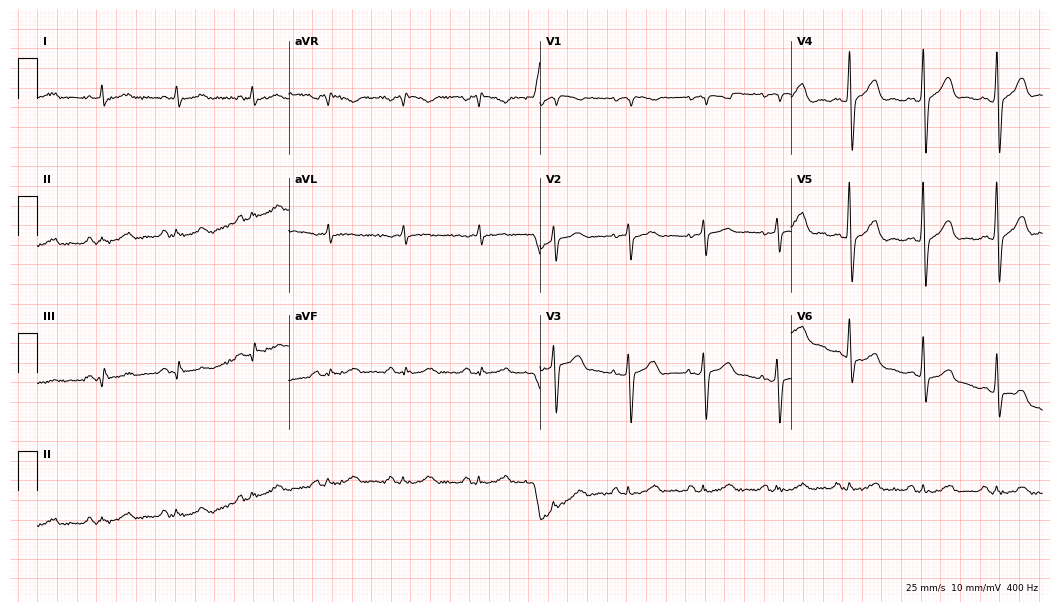
Standard 12-lead ECG recorded from a 53-year-old male patient (10.2-second recording at 400 Hz). None of these six findings is recorded: first-degree AV block, right bundle branch block (RBBB), left bundle branch block (LBBB), sinus bradycardia, atrial fibrillation (AF), sinus tachycardia. Other findings, if any, are not listed.